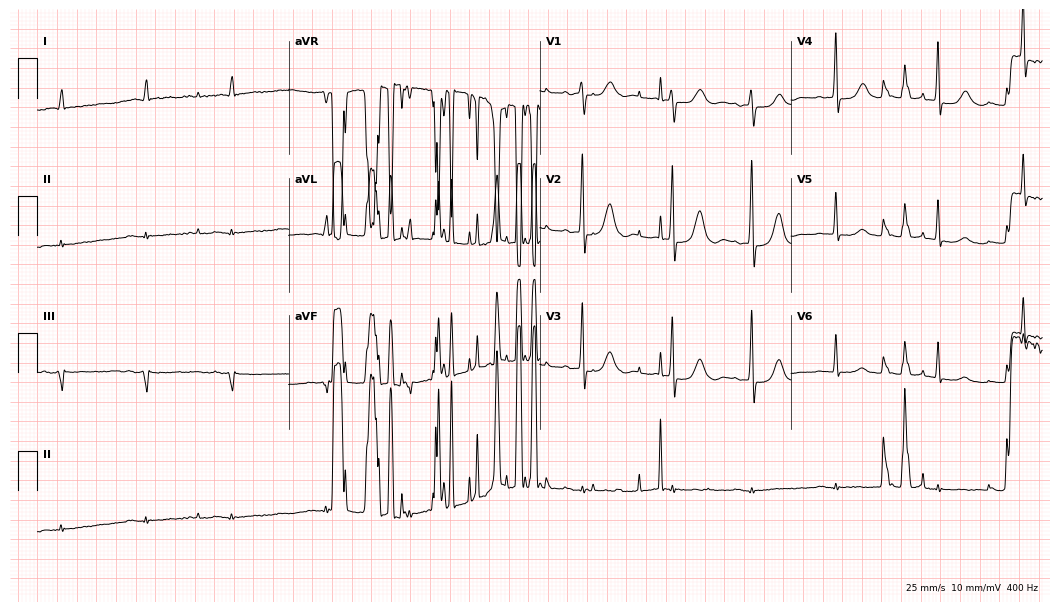
Resting 12-lead electrocardiogram (10.2-second recording at 400 Hz). Patient: a 69-year-old female. None of these six findings is recorded: first-degree AV block, right bundle branch block, left bundle branch block, sinus bradycardia, atrial fibrillation, sinus tachycardia.